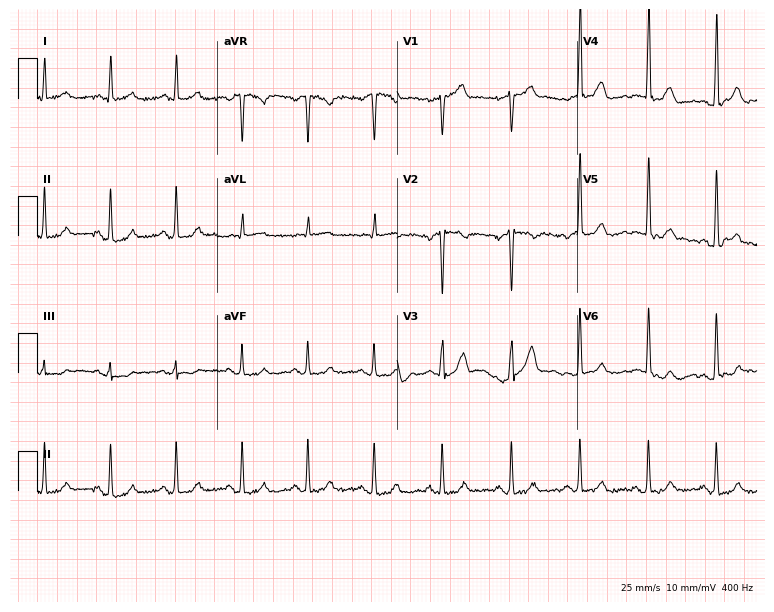
Standard 12-lead ECG recorded from a male, 42 years old. Read as a normal ECG.